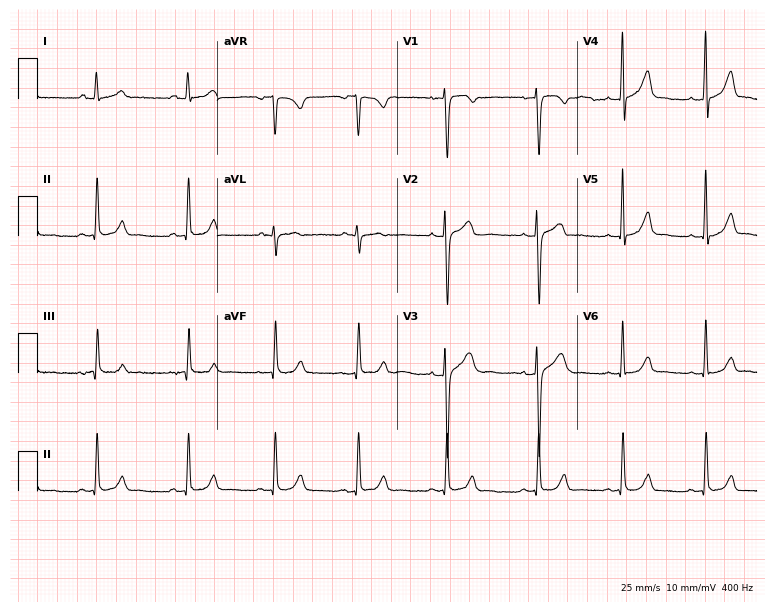
Electrocardiogram, a 27-year-old female. Overall reading on record: normal ECG.